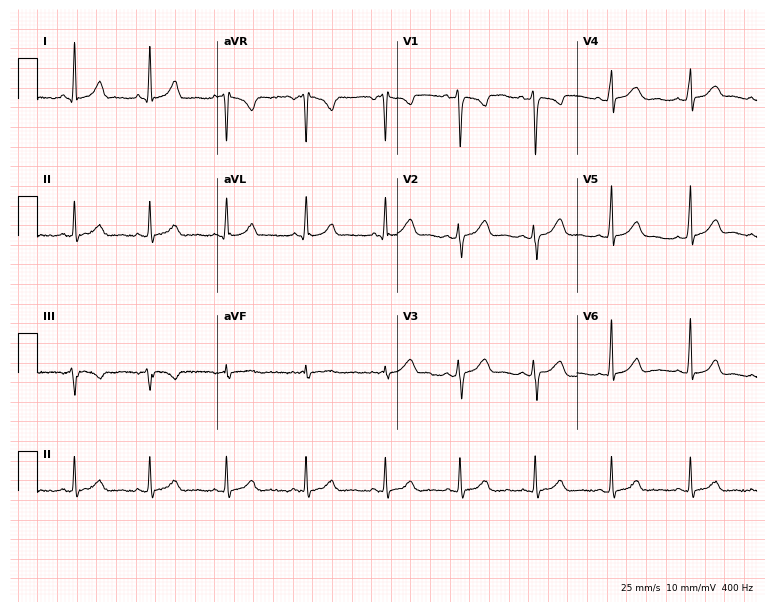
12-lead ECG from a 27-year-old female. Labelled as a normal ECG.